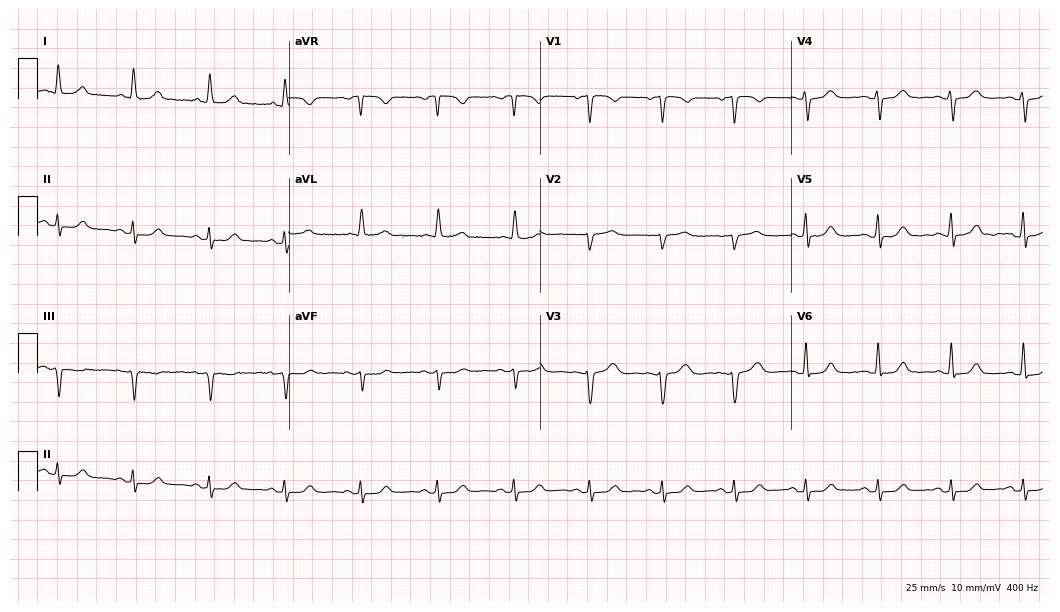
12-lead ECG from a female patient, 51 years old. Recorded interpretation: within normal limits.